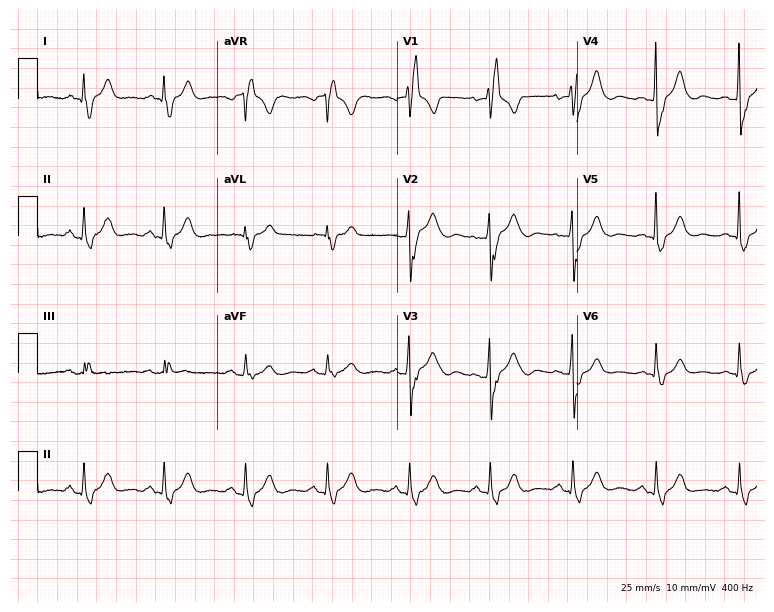
Electrocardiogram (7.3-second recording at 400 Hz), a 62-year-old male patient. Interpretation includes right bundle branch block.